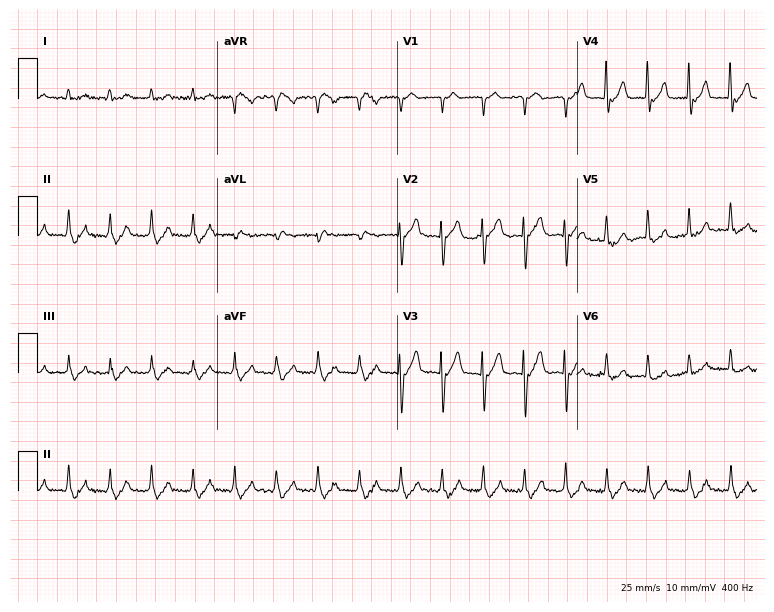
Standard 12-lead ECG recorded from a male, 75 years old (7.3-second recording at 400 Hz). None of these six findings is recorded: first-degree AV block, right bundle branch block, left bundle branch block, sinus bradycardia, atrial fibrillation, sinus tachycardia. Other findings, if any, are not listed.